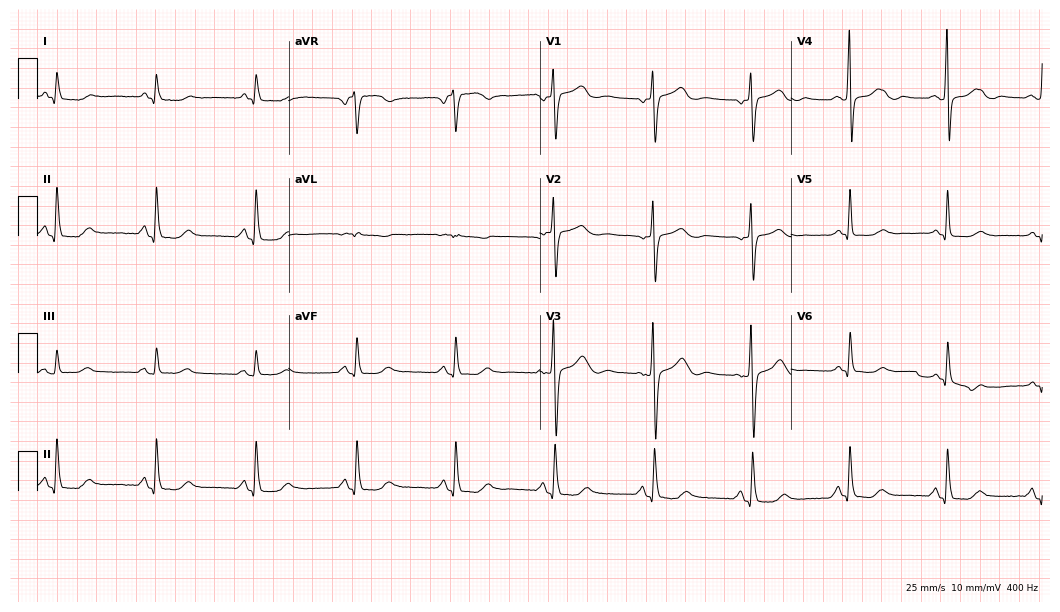
12-lead ECG (10.2-second recording at 400 Hz) from a 67-year-old female. Labelled as a normal ECG.